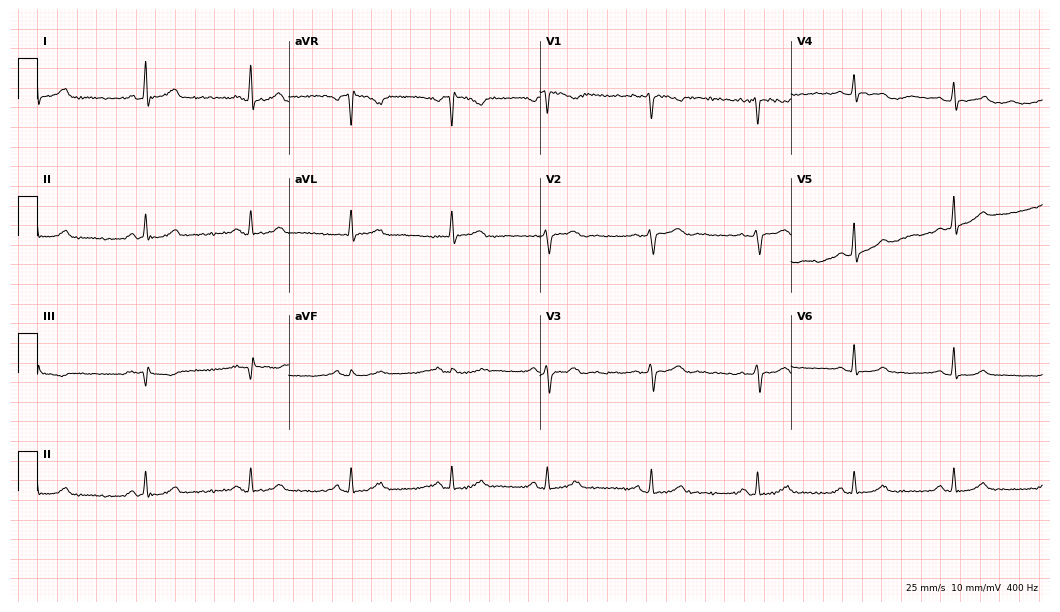
12-lead ECG from a female, 52 years old. Recorded interpretation: within normal limits.